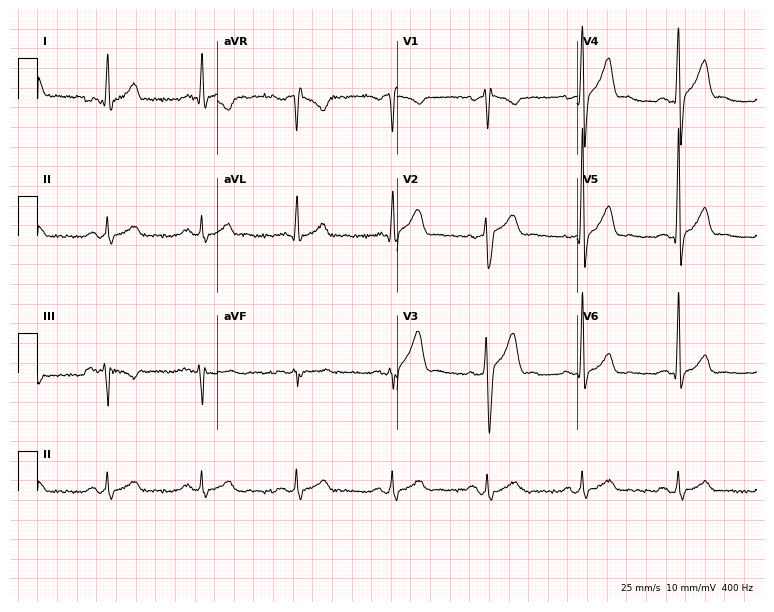
12-lead ECG from a man, 47 years old (7.3-second recording at 400 Hz). No first-degree AV block, right bundle branch block, left bundle branch block, sinus bradycardia, atrial fibrillation or sinus tachycardia recorded for this tracing.